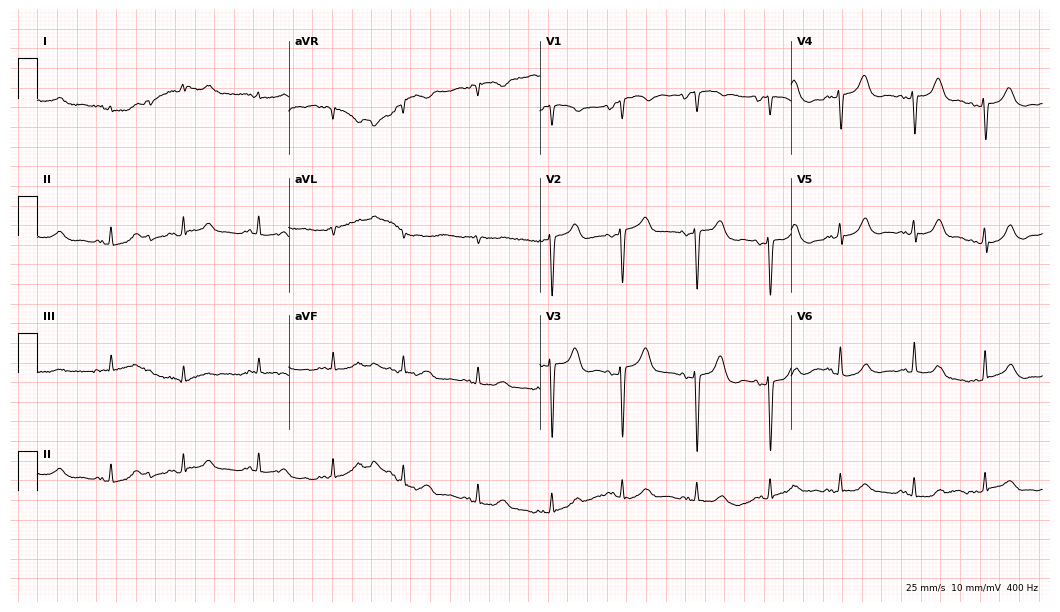
Resting 12-lead electrocardiogram (10.2-second recording at 400 Hz). Patient: a 77-year-old female. None of these six findings is recorded: first-degree AV block, right bundle branch block (RBBB), left bundle branch block (LBBB), sinus bradycardia, atrial fibrillation (AF), sinus tachycardia.